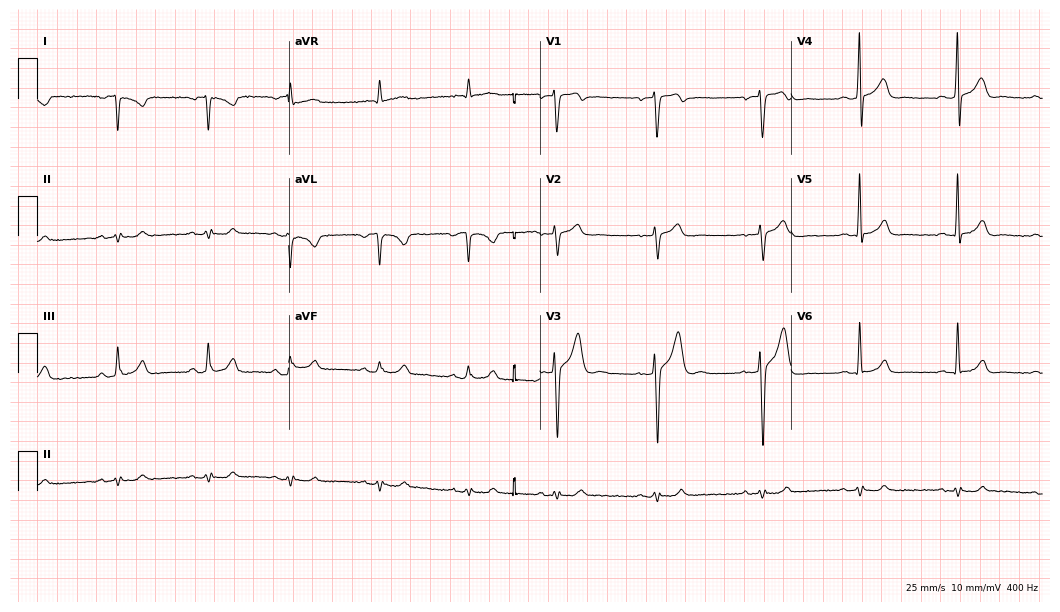
Resting 12-lead electrocardiogram. Patient: a male, 31 years old. None of these six findings is recorded: first-degree AV block, right bundle branch block, left bundle branch block, sinus bradycardia, atrial fibrillation, sinus tachycardia. Other findings, if any, are not listed.